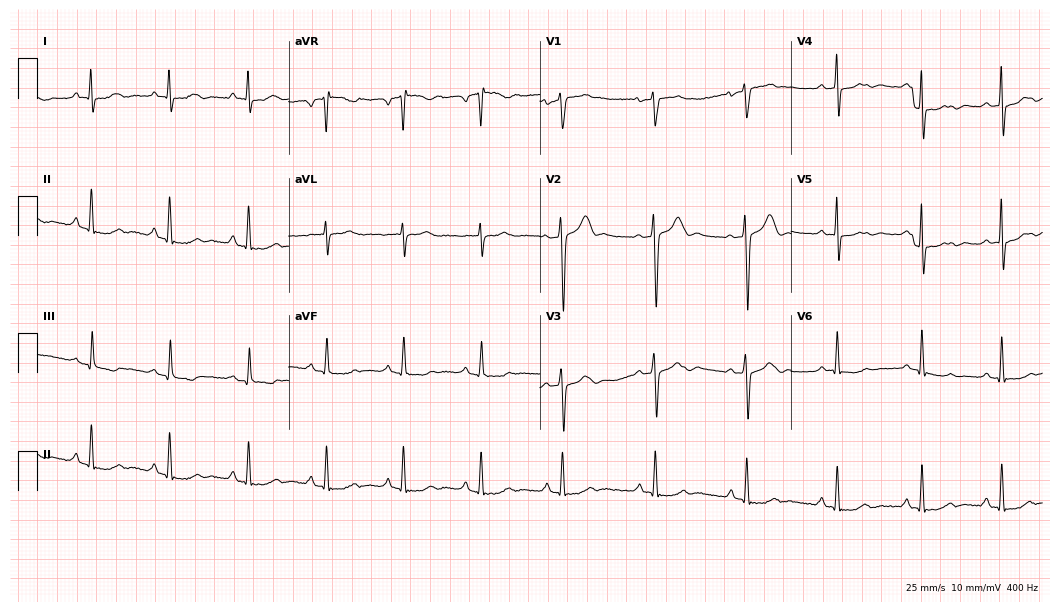
12-lead ECG from a 52-year-old man (10.2-second recording at 400 Hz). No first-degree AV block, right bundle branch block (RBBB), left bundle branch block (LBBB), sinus bradycardia, atrial fibrillation (AF) or sinus tachycardia recorded for this tracing. Other findings, if any, are not listed.